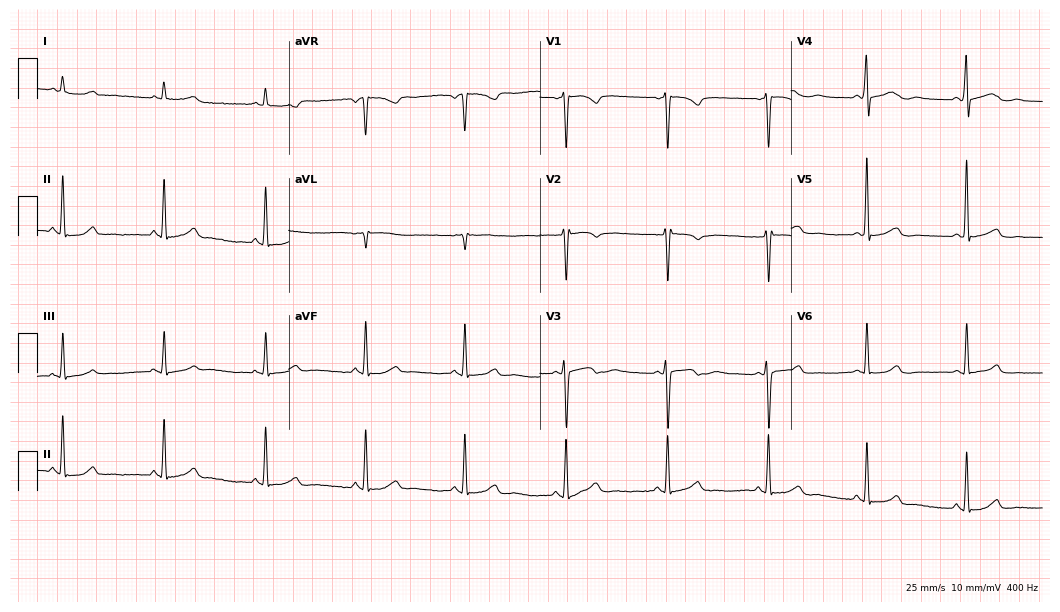
12-lead ECG from a 48-year-old female (10.2-second recording at 400 Hz). No first-degree AV block, right bundle branch block (RBBB), left bundle branch block (LBBB), sinus bradycardia, atrial fibrillation (AF) or sinus tachycardia recorded for this tracing.